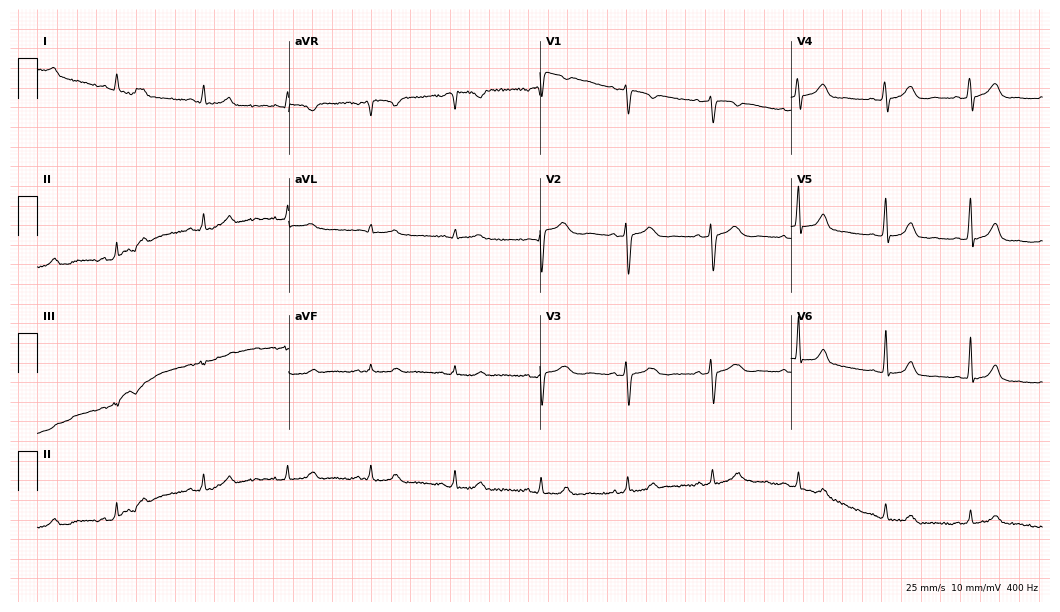
ECG (10.2-second recording at 400 Hz) — a 41-year-old female patient. Screened for six findings — first-degree AV block, right bundle branch block, left bundle branch block, sinus bradycardia, atrial fibrillation, sinus tachycardia — none is recorded.